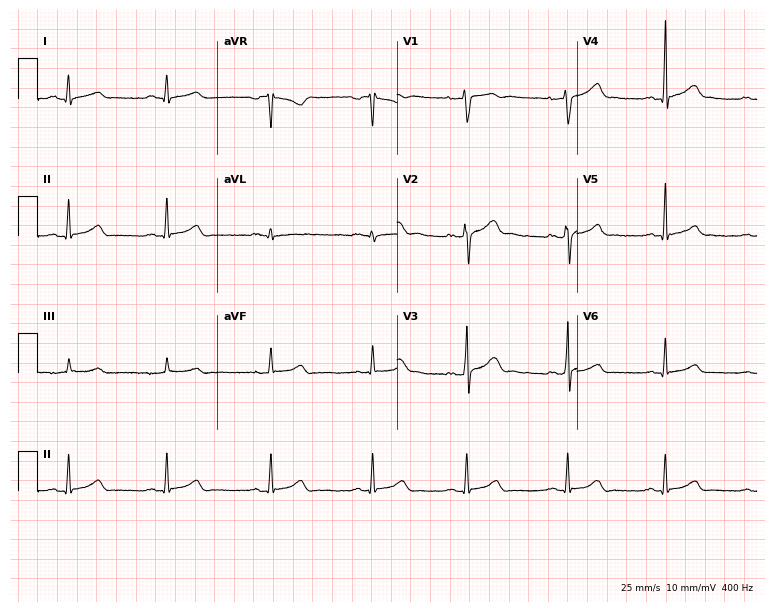
12-lead ECG (7.3-second recording at 400 Hz) from a male patient, 26 years old. Labelled as a normal ECG.